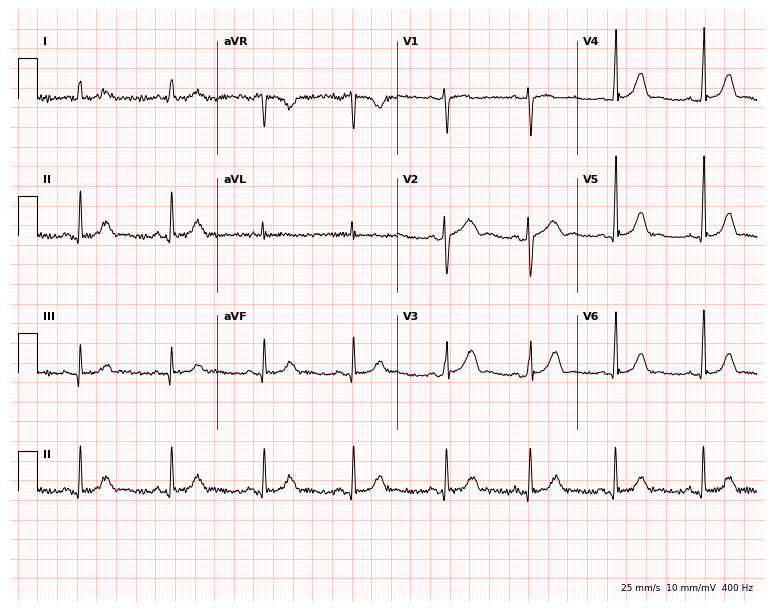
ECG (7.3-second recording at 400 Hz) — a female, 22 years old. Labelled as a normal ECG.